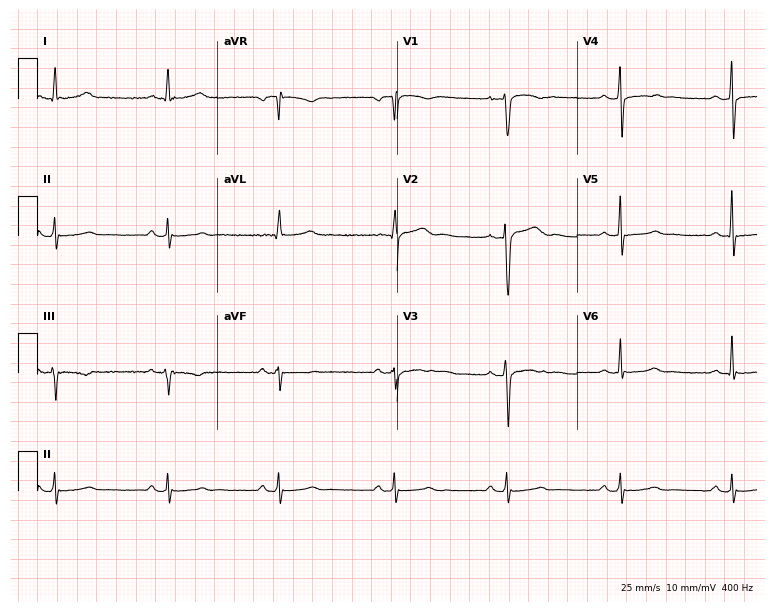
Electrocardiogram, a 51-year-old male. Of the six screened findings (first-degree AV block, right bundle branch block, left bundle branch block, sinus bradycardia, atrial fibrillation, sinus tachycardia), none is recorded. Findings outside these six are not listed.